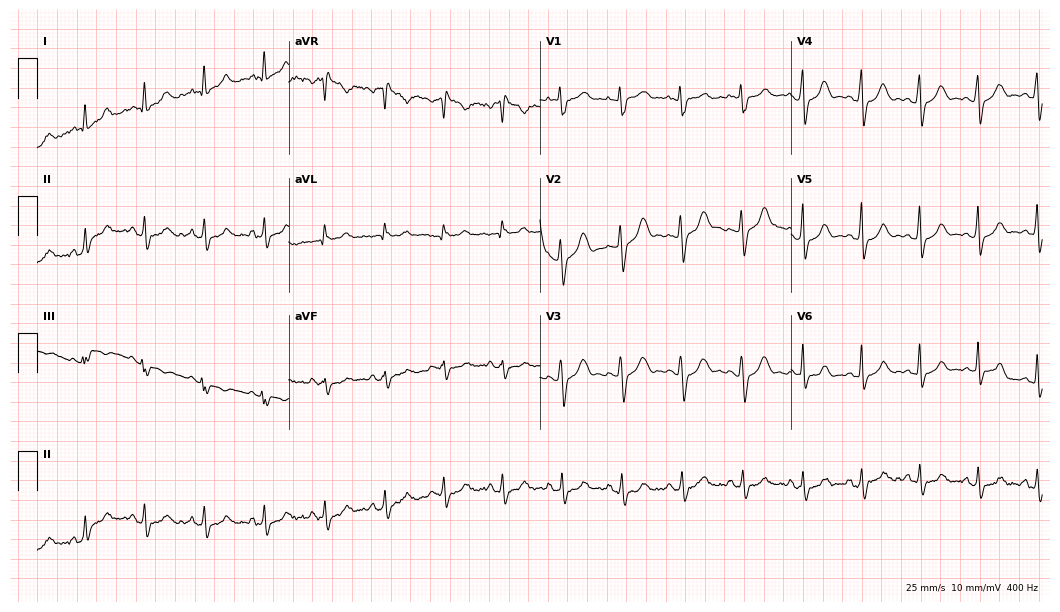
12-lead ECG from a woman, 25 years old (10.2-second recording at 400 Hz). No first-degree AV block, right bundle branch block (RBBB), left bundle branch block (LBBB), sinus bradycardia, atrial fibrillation (AF) or sinus tachycardia recorded for this tracing.